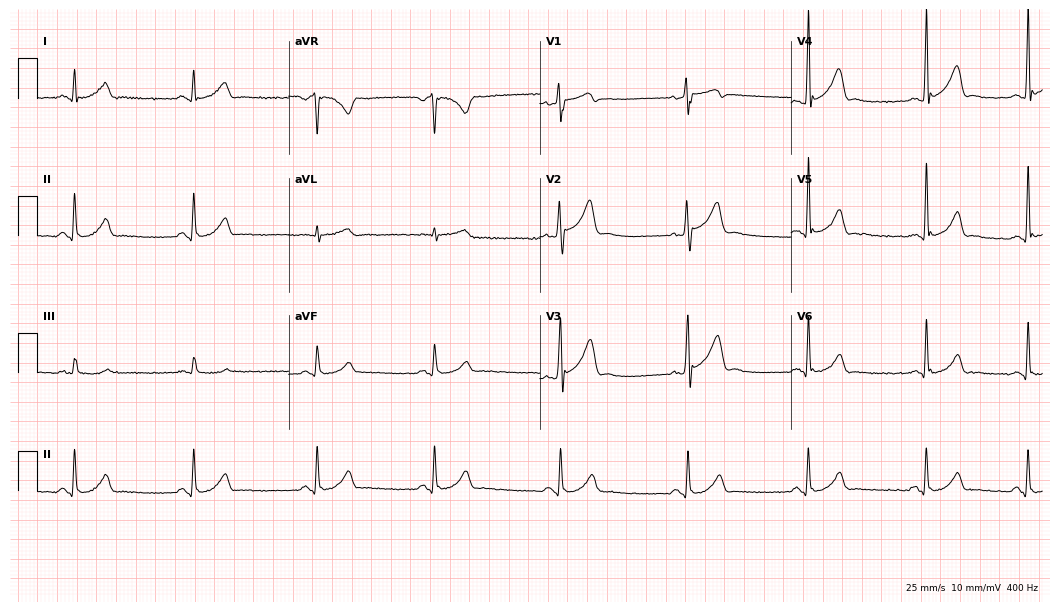
ECG — a male, 40 years old. Findings include sinus bradycardia (a sinus rate of 50 beats per minute or less).